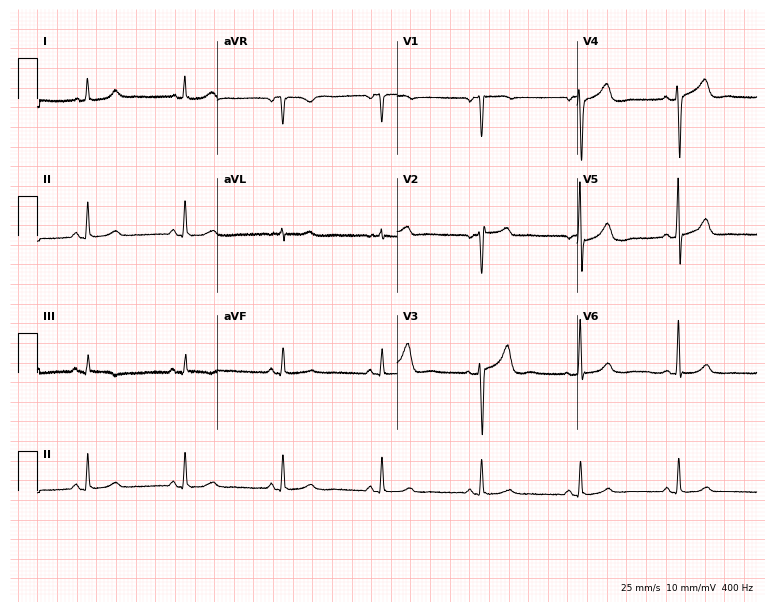
ECG (7.3-second recording at 400 Hz) — a male, 81 years old. Labelled as a normal ECG.